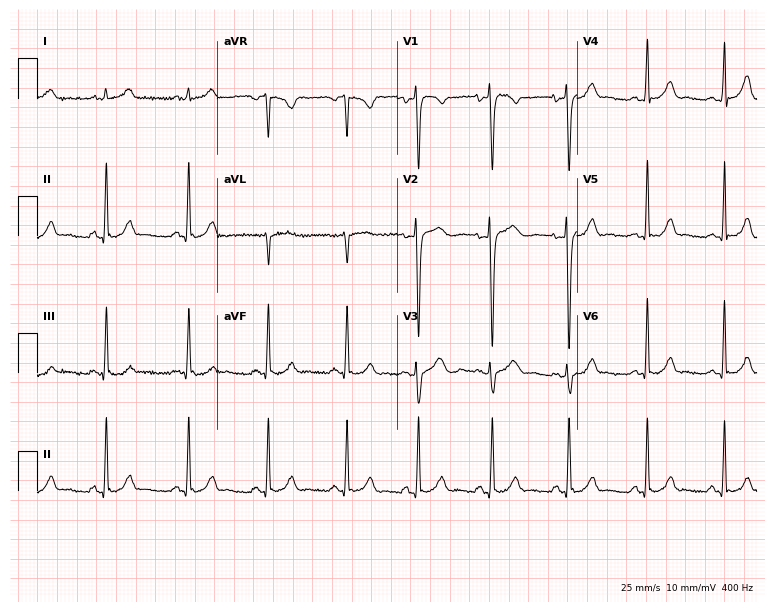
12-lead ECG from a woman, 24 years old. Labelled as a normal ECG.